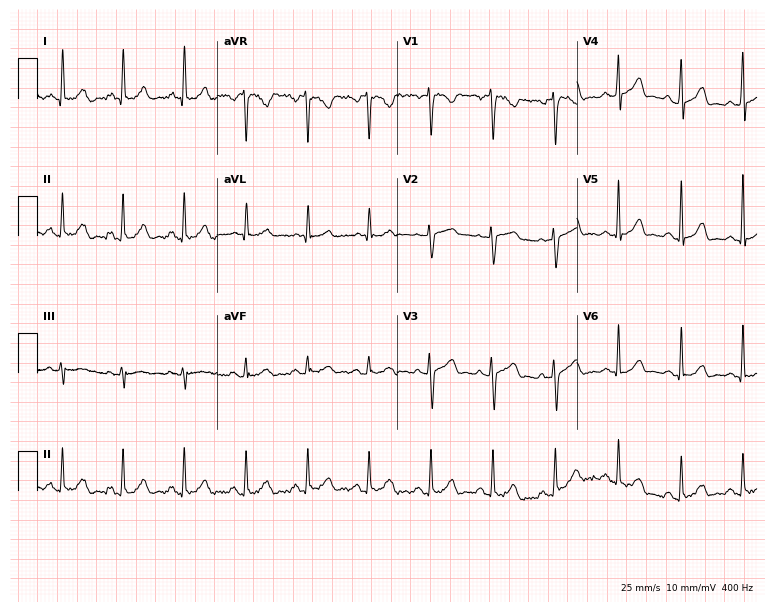
Resting 12-lead electrocardiogram (7.3-second recording at 400 Hz). Patient: a female, 45 years old. Read as a normal ECG.